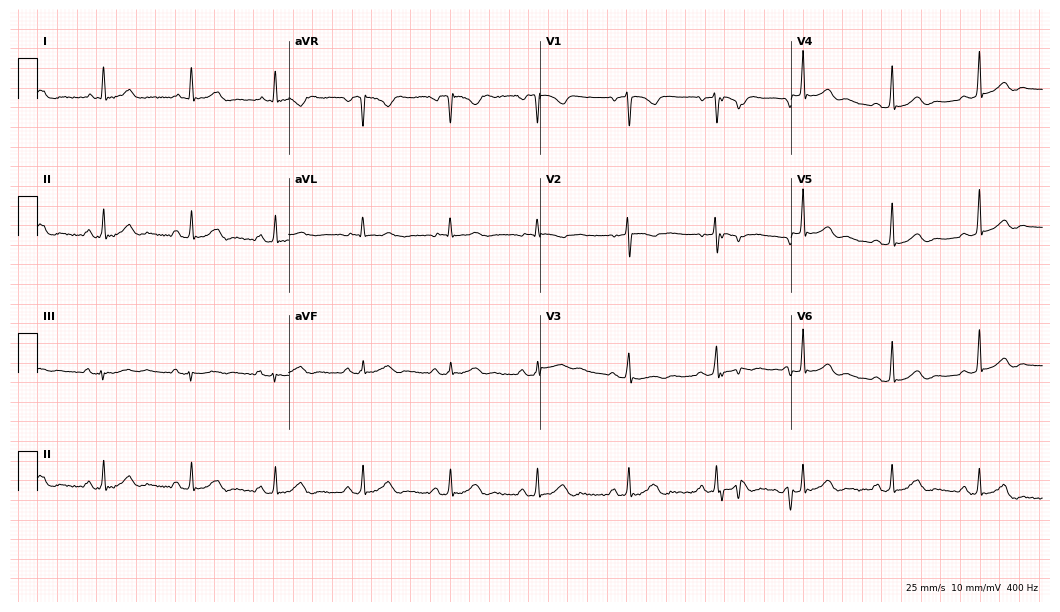
Electrocardiogram, a woman, 29 years old. Overall reading on record: normal ECG.